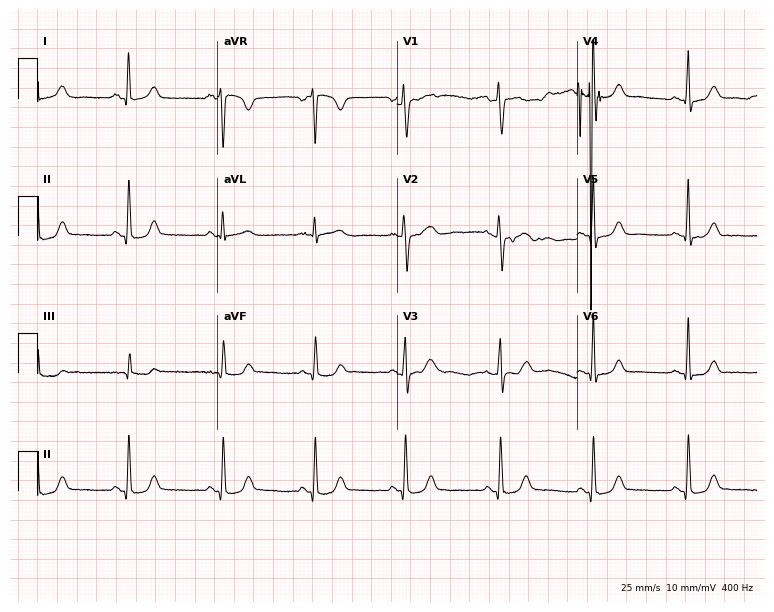
Standard 12-lead ECG recorded from a female patient, 40 years old (7.3-second recording at 400 Hz). Read as a normal ECG.